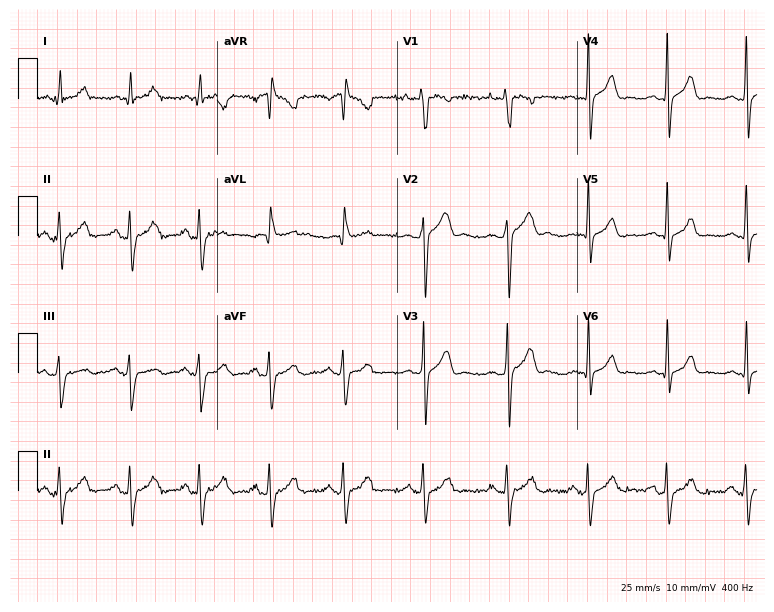
12-lead ECG (7.3-second recording at 400 Hz) from a 31-year-old man. Screened for six findings — first-degree AV block, right bundle branch block (RBBB), left bundle branch block (LBBB), sinus bradycardia, atrial fibrillation (AF), sinus tachycardia — none is recorded.